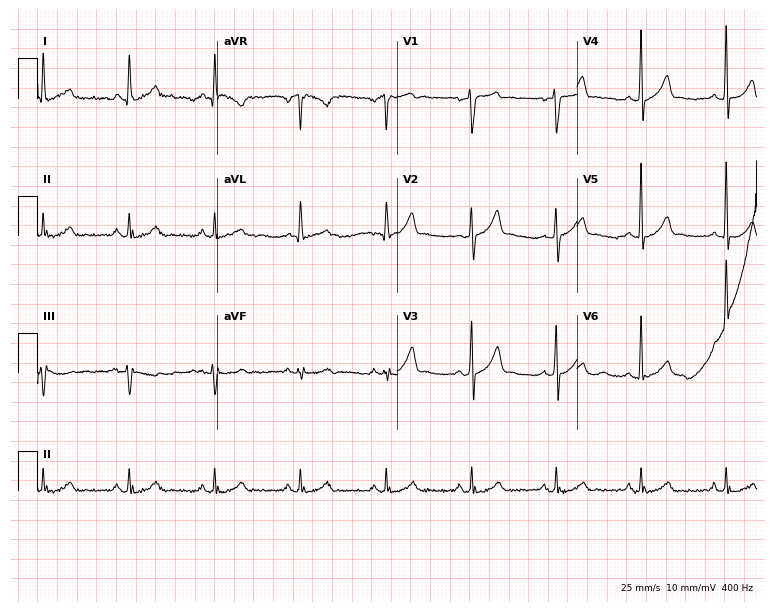
12-lead ECG from a 59-year-old male patient. Recorded interpretation: within normal limits.